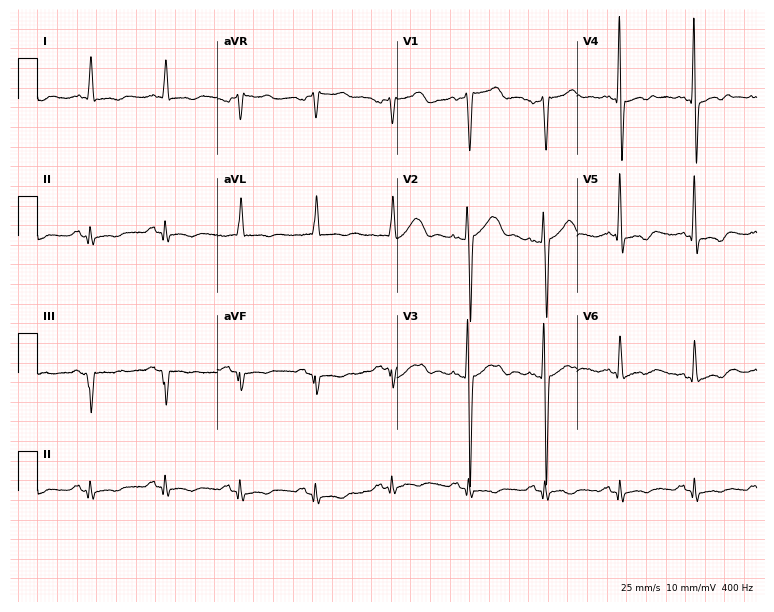
12-lead ECG from a 52-year-old female (7.3-second recording at 400 Hz). No first-degree AV block, right bundle branch block (RBBB), left bundle branch block (LBBB), sinus bradycardia, atrial fibrillation (AF) or sinus tachycardia recorded for this tracing. Findings outside these six are not listed.